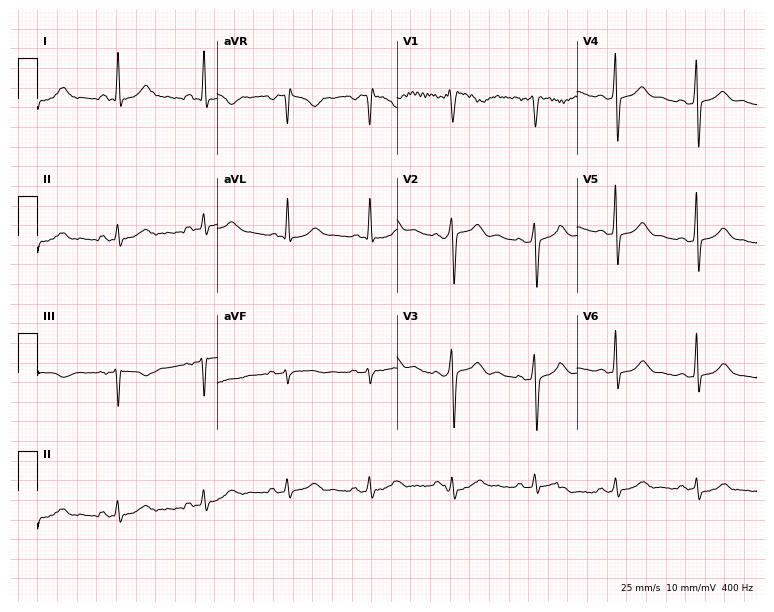
Electrocardiogram (7.3-second recording at 400 Hz), a man, 34 years old. Of the six screened findings (first-degree AV block, right bundle branch block, left bundle branch block, sinus bradycardia, atrial fibrillation, sinus tachycardia), none is recorded. Other findings, if any, are not listed.